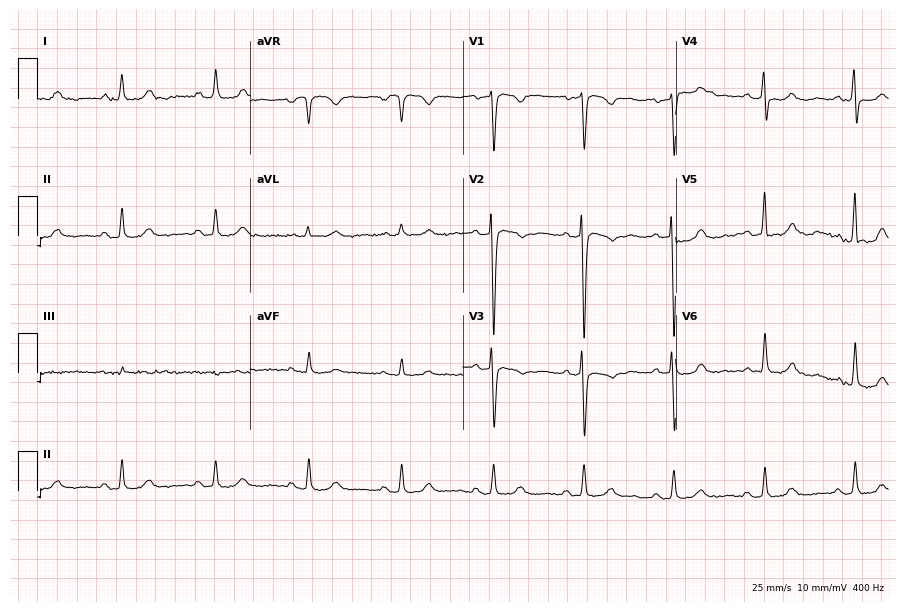
Standard 12-lead ECG recorded from a 74-year-old male. None of these six findings is recorded: first-degree AV block, right bundle branch block, left bundle branch block, sinus bradycardia, atrial fibrillation, sinus tachycardia.